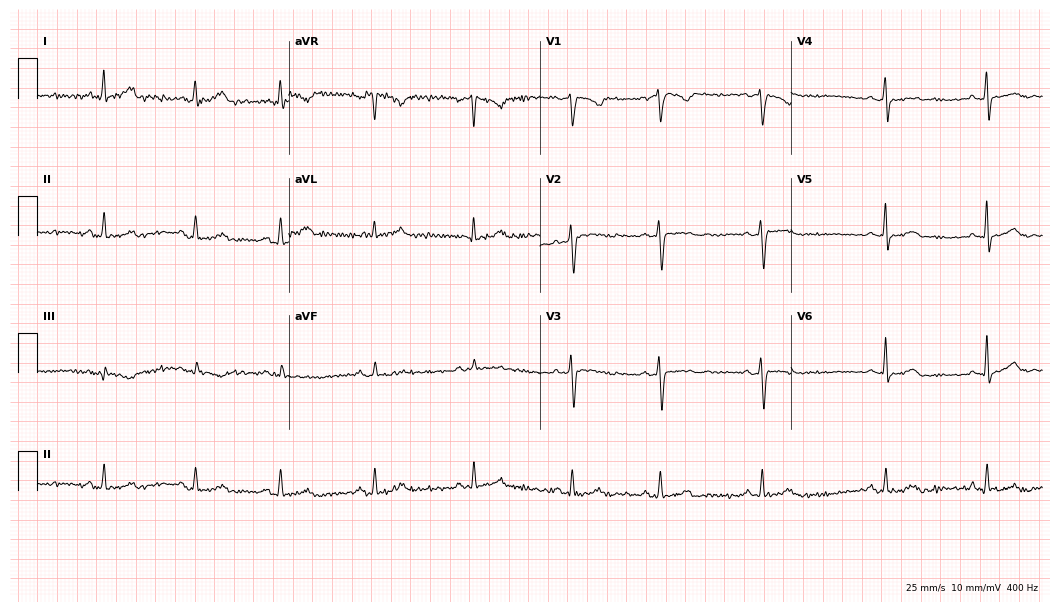
ECG — a woman, 28 years old. Labelled as a normal ECG.